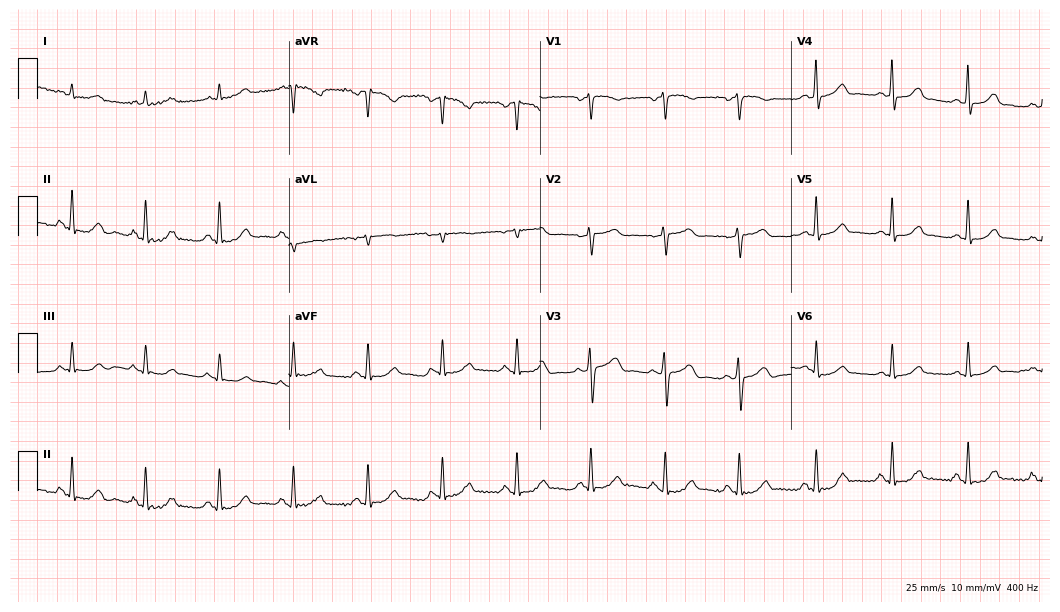
Standard 12-lead ECG recorded from a male, 57 years old (10.2-second recording at 400 Hz). Read as a normal ECG.